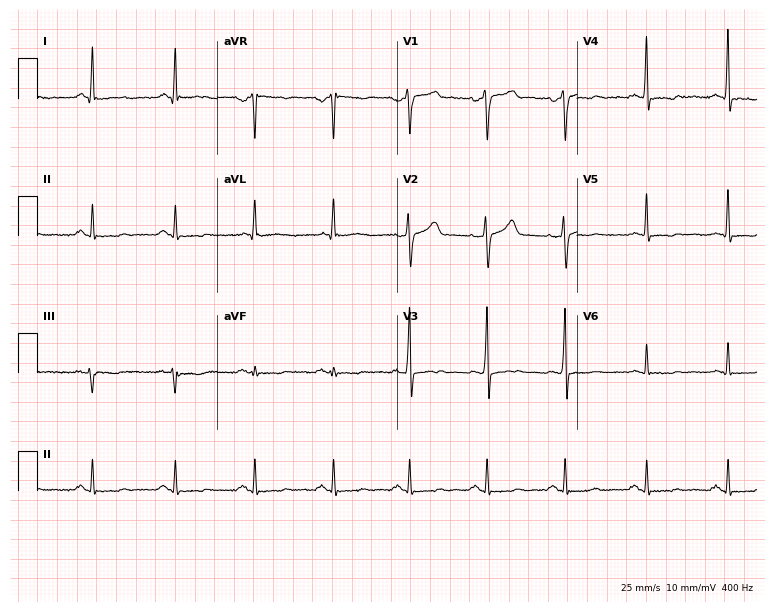
ECG (7.3-second recording at 400 Hz) — a male, 48 years old. Screened for six findings — first-degree AV block, right bundle branch block, left bundle branch block, sinus bradycardia, atrial fibrillation, sinus tachycardia — none is recorded. Findings outside these six are not listed.